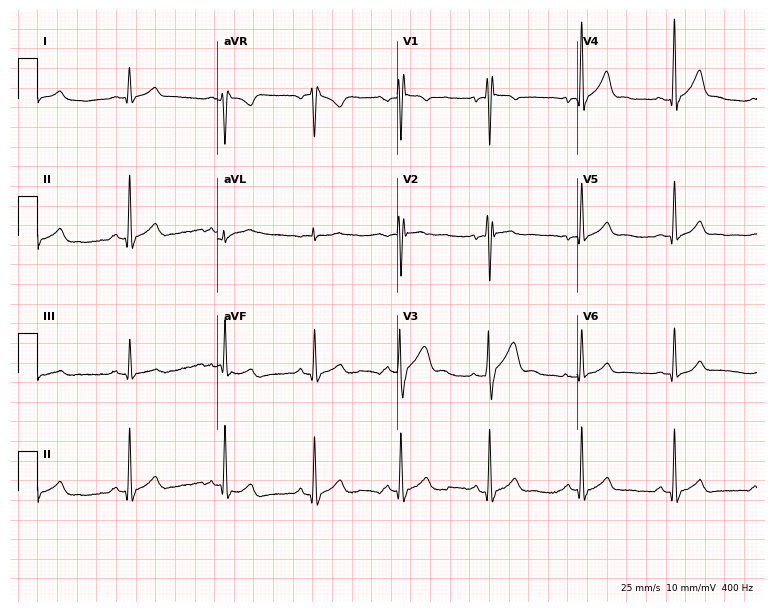
Resting 12-lead electrocardiogram. Patient: an 18-year-old male. Read as a normal ECG.